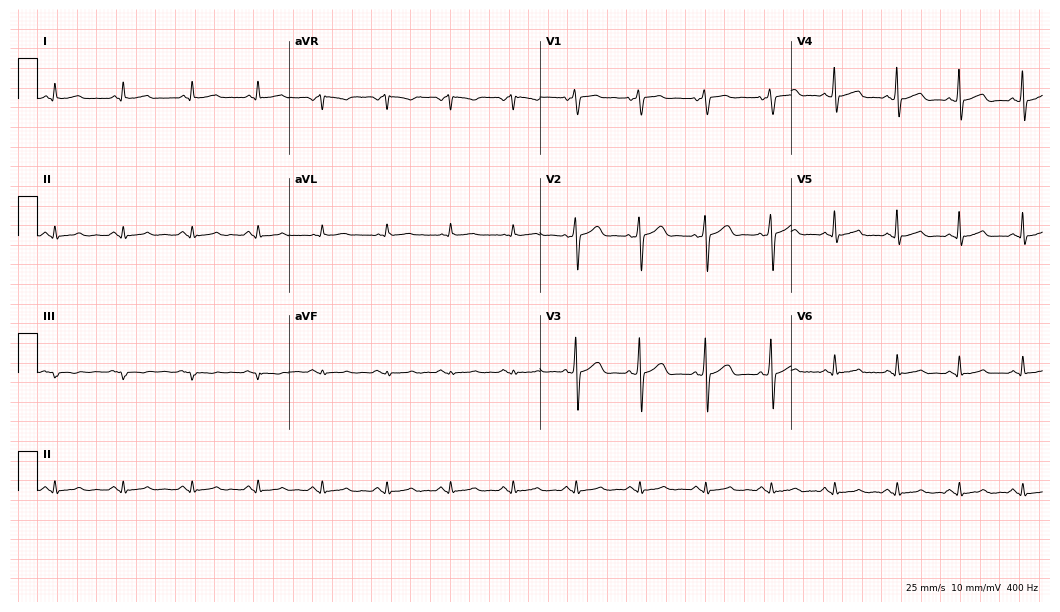
Resting 12-lead electrocardiogram (10.2-second recording at 400 Hz). Patient: a 57-year-old male. Read as a normal ECG.